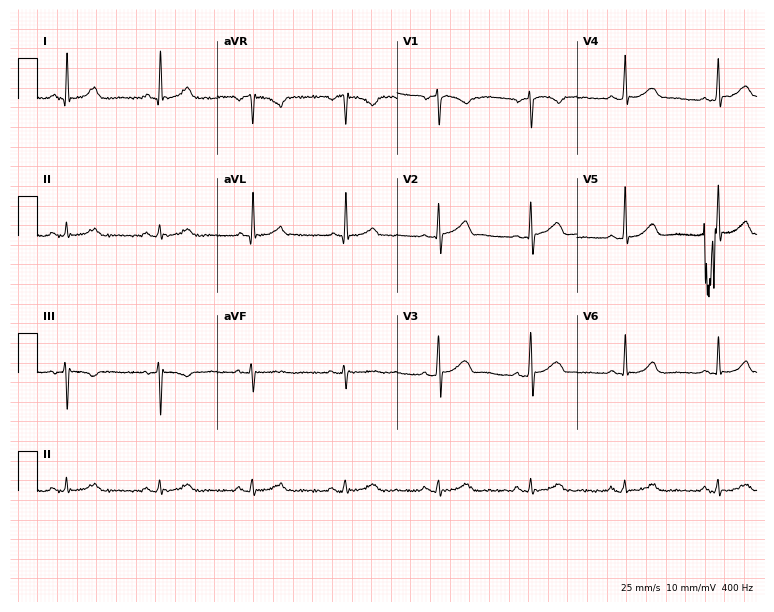
12-lead ECG (7.3-second recording at 400 Hz) from a male patient, 49 years old. Screened for six findings — first-degree AV block, right bundle branch block, left bundle branch block, sinus bradycardia, atrial fibrillation, sinus tachycardia — none is recorded. Other findings, if any, are not listed.